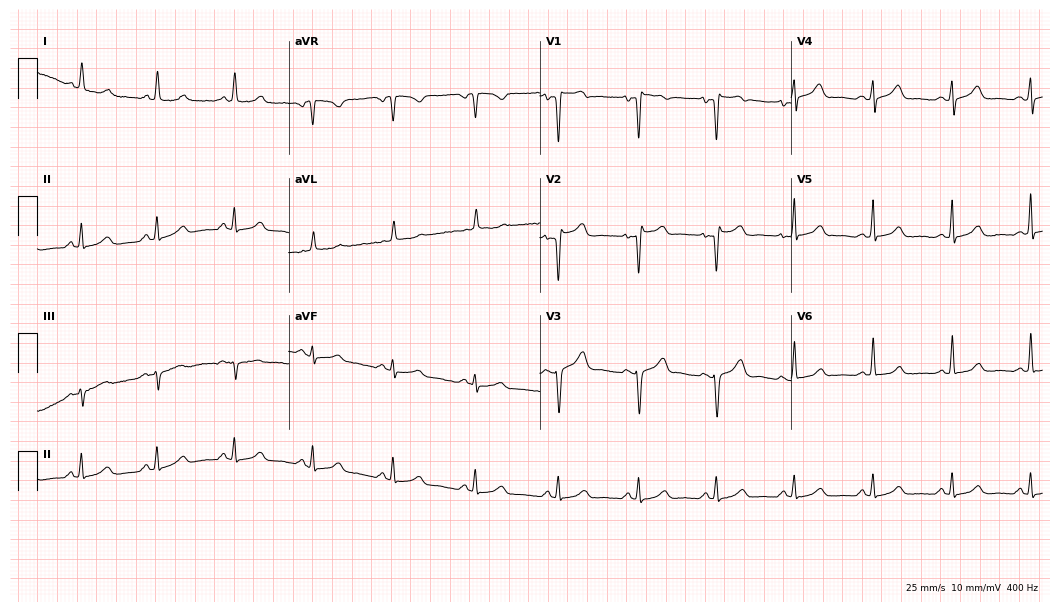
12-lead ECG (10.2-second recording at 400 Hz) from a 42-year-old female. Screened for six findings — first-degree AV block, right bundle branch block, left bundle branch block, sinus bradycardia, atrial fibrillation, sinus tachycardia — none is recorded. Findings outside these six are not listed.